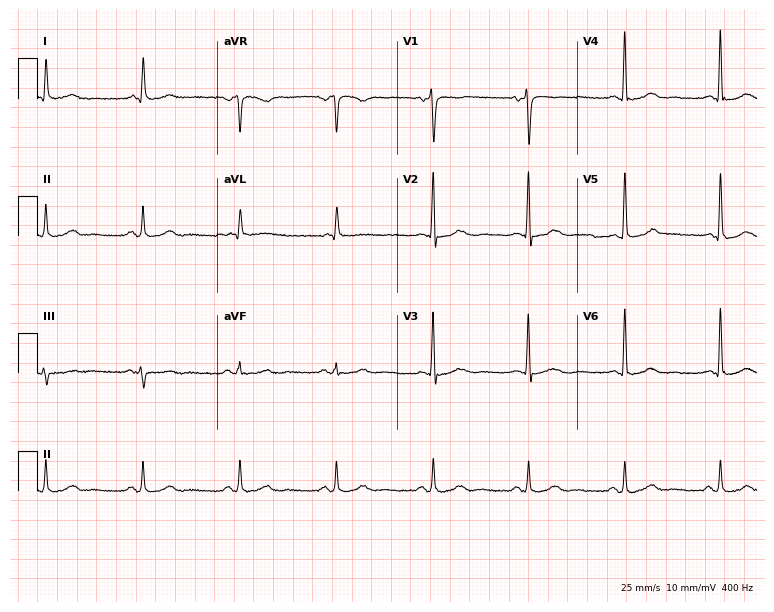
Electrocardiogram (7.3-second recording at 400 Hz), a man, 79 years old. Overall reading on record: normal ECG.